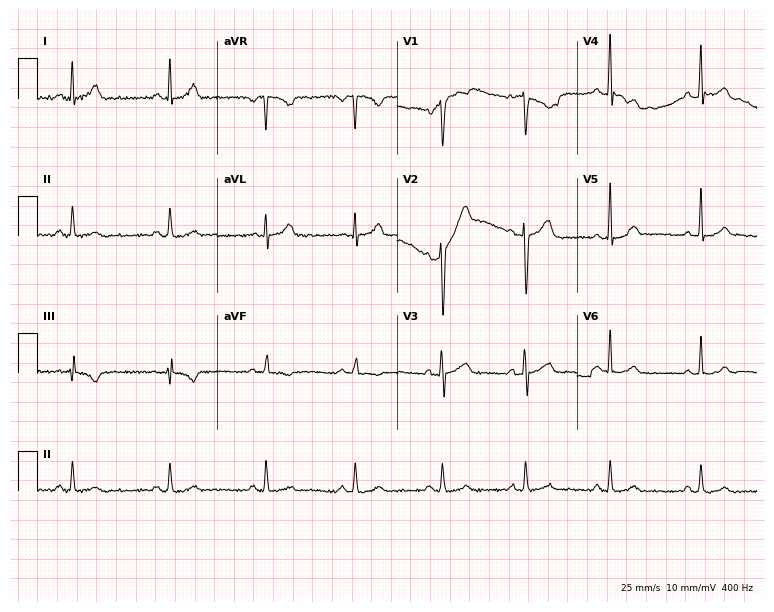
12-lead ECG from a 43-year-old male (7.3-second recording at 400 Hz). No first-degree AV block, right bundle branch block, left bundle branch block, sinus bradycardia, atrial fibrillation or sinus tachycardia recorded for this tracing. Other findings, if any, are not listed.